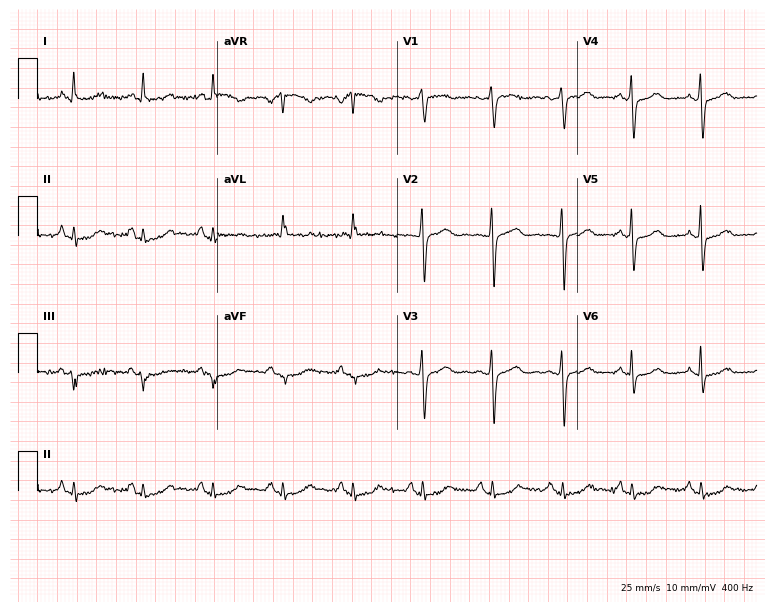
Standard 12-lead ECG recorded from a woman, 79 years old (7.3-second recording at 400 Hz). None of these six findings is recorded: first-degree AV block, right bundle branch block, left bundle branch block, sinus bradycardia, atrial fibrillation, sinus tachycardia.